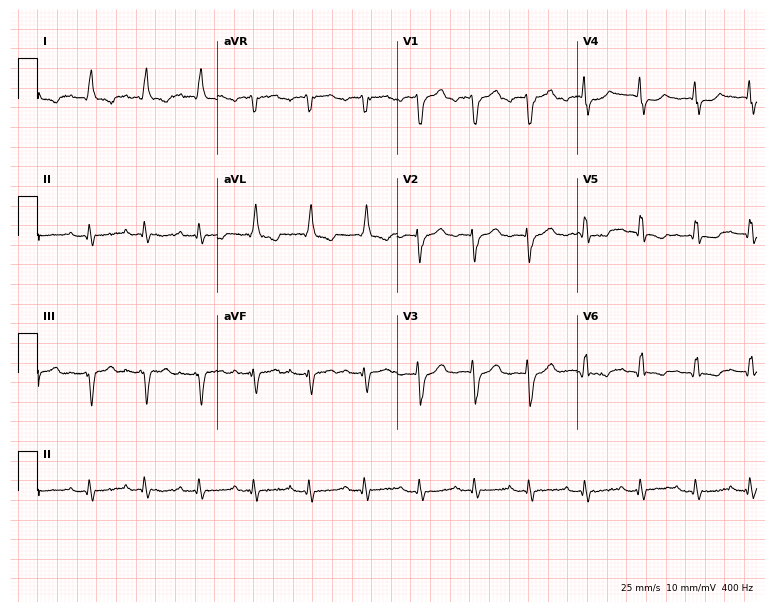
12-lead ECG from a male patient, 82 years old (7.3-second recording at 400 Hz). Shows left bundle branch block, sinus tachycardia (a sinus rate of 100 beats per minute or more).